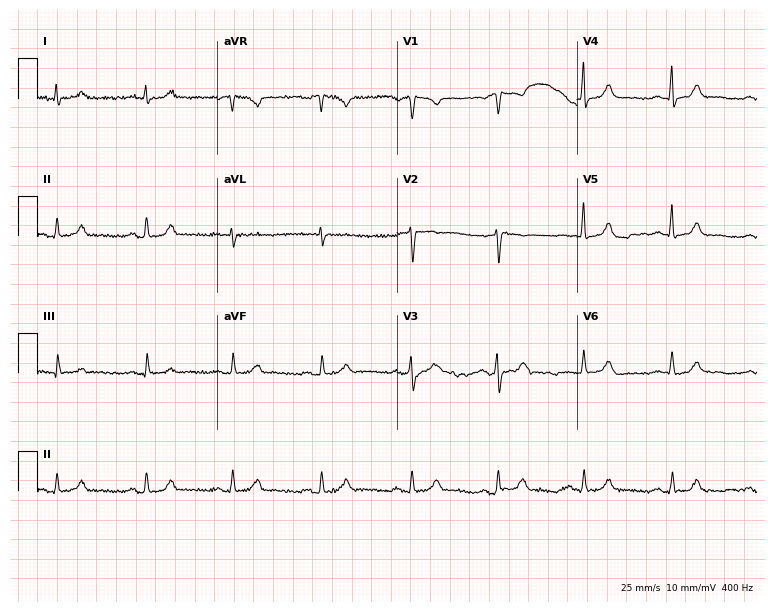
Standard 12-lead ECG recorded from a male patient, 60 years old. Read as a normal ECG.